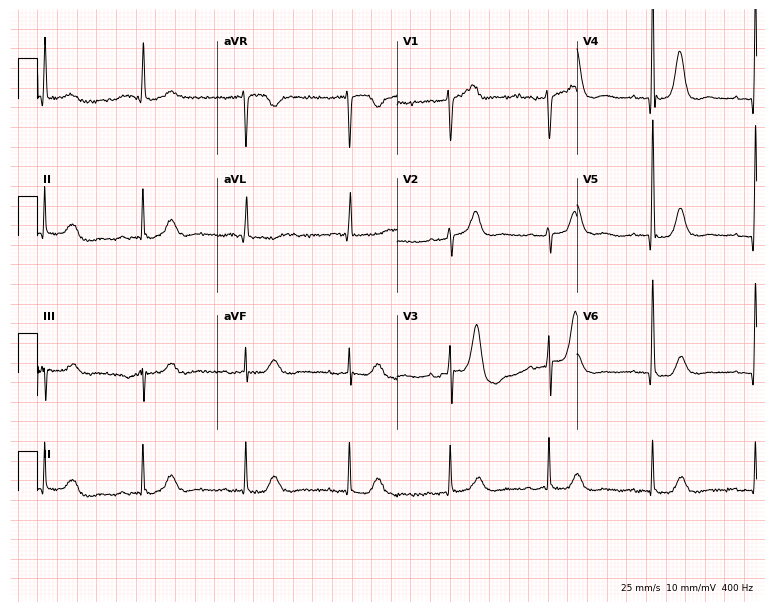
Resting 12-lead electrocardiogram (7.3-second recording at 400 Hz). Patient: a woman, 84 years old. None of these six findings is recorded: first-degree AV block, right bundle branch block, left bundle branch block, sinus bradycardia, atrial fibrillation, sinus tachycardia. Findings outside these six are not listed.